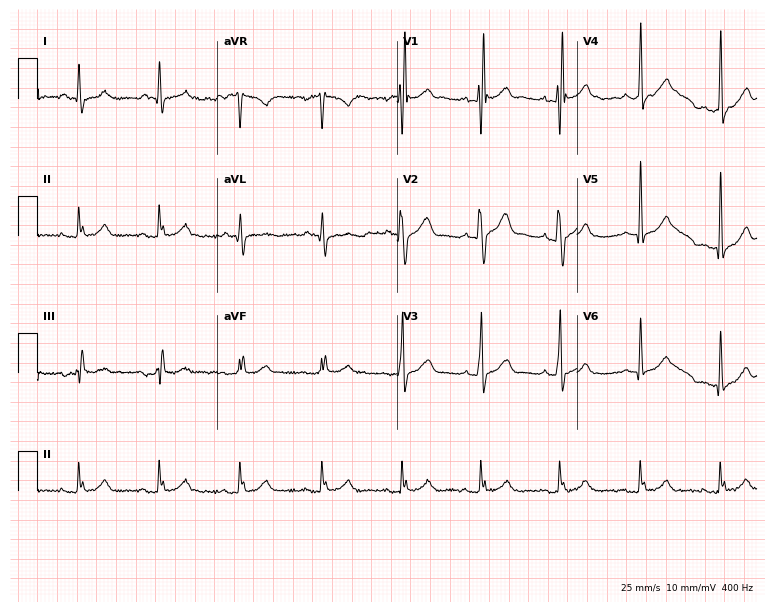
Resting 12-lead electrocardiogram (7.3-second recording at 400 Hz). Patient: a man, 30 years old. None of these six findings is recorded: first-degree AV block, right bundle branch block, left bundle branch block, sinus bradycardia, atrial fibrillation, sinus tachycardia.